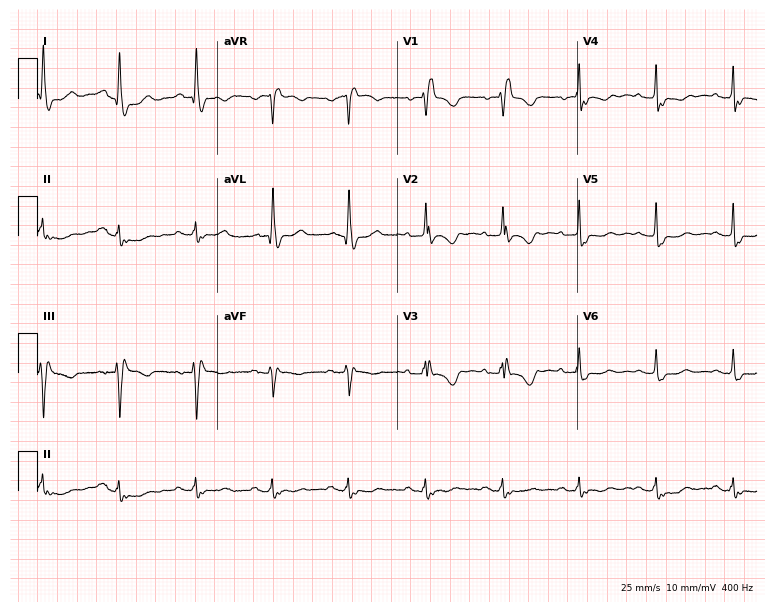
Standard 12-lead ECG recorded from a 71-year-old woman. The tracing shows right bundle branch block.